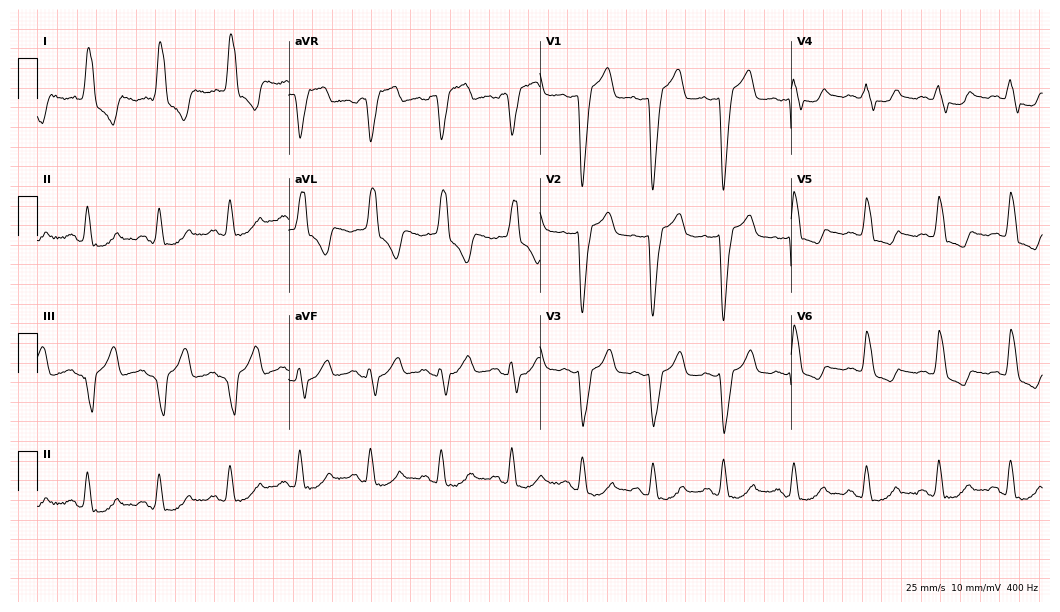
12-lead ECG from a female, 79 years old. Findings include left bundle branch block.